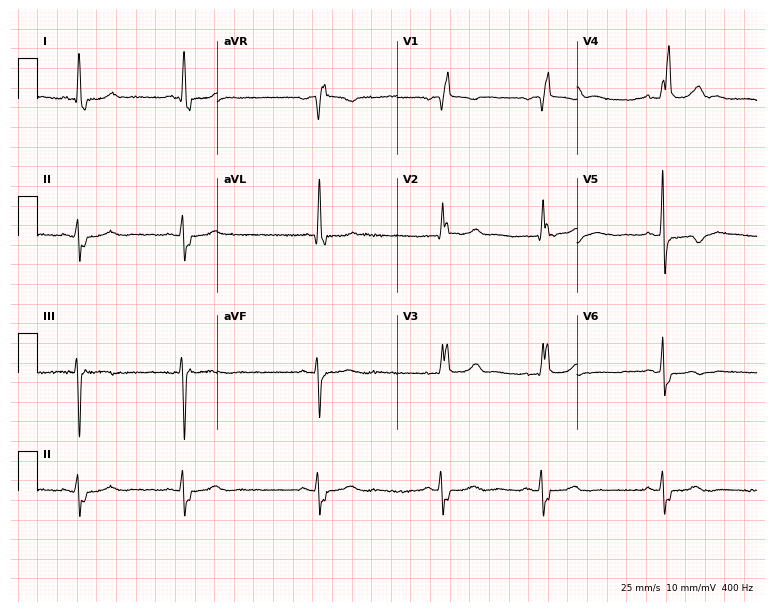
Resting 12-lead electrocardiogram (7.3-second recording at 400 Hz). Patient: a female, 85 years old. The tracing shows right bundle branch block.